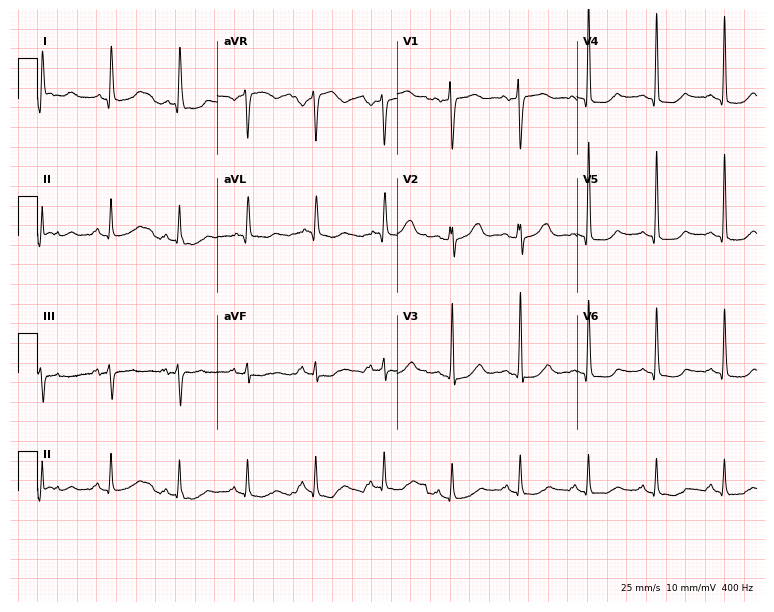
12-lead ECG from a 71-year-old female patient. Screened for six findings — first-degree AV block, right bundle branch block, left bundle branch block, sinus bradycardia, atrial fibrillation, sinus tachycardia — none is recorded. Only these six findings were labelled.